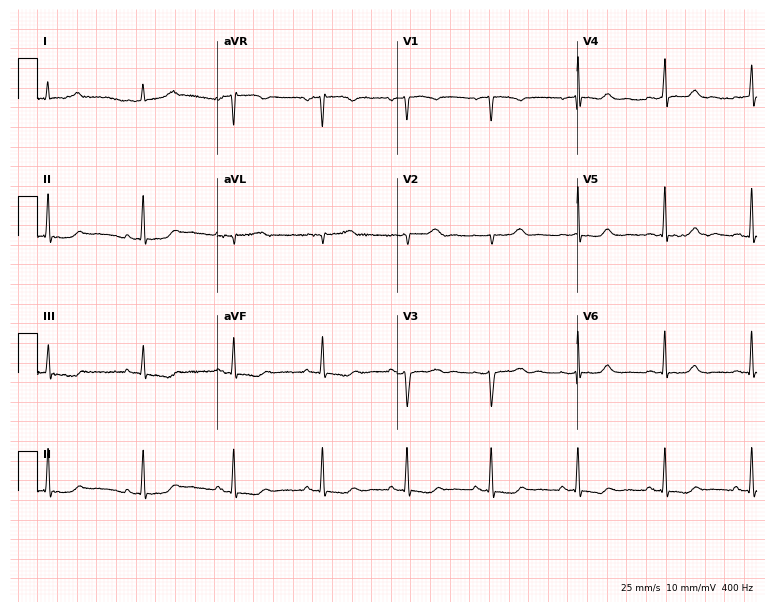
Resting 12-lead electrocardiogram. Patient: a female, 45 years old. None of these six findings is recorded: first-degree AV block, right bundle branch block, left bundle branch block, sinus bradycardia, atrial fibrillation, sinus tachycardia. Other findings, if any, are not listed.